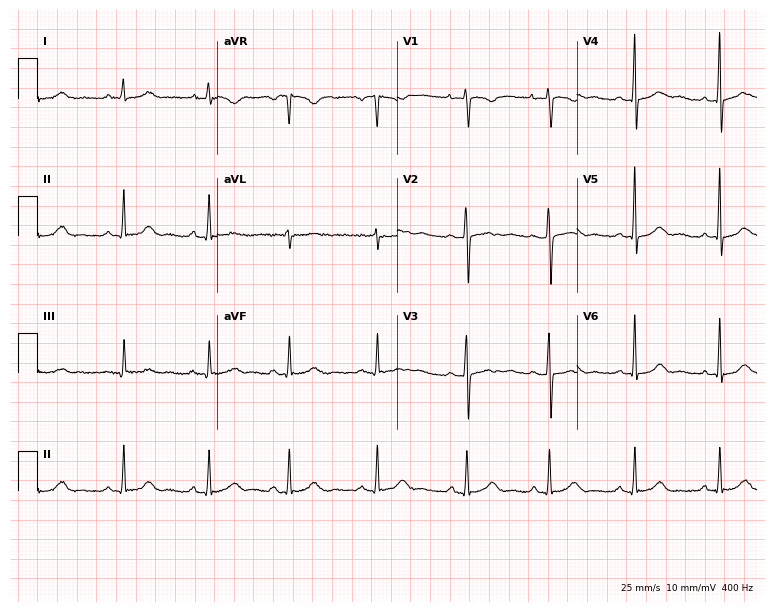
12-lead ECG (7.3-second recording at 400 Hz) from a female, 23 years old. Screened for six findings — first-degree AV block, right bundle branch block, left bundle branch block, sinus bradycardia, atrial fibrillation, sinus tachycardia — none is recorded.